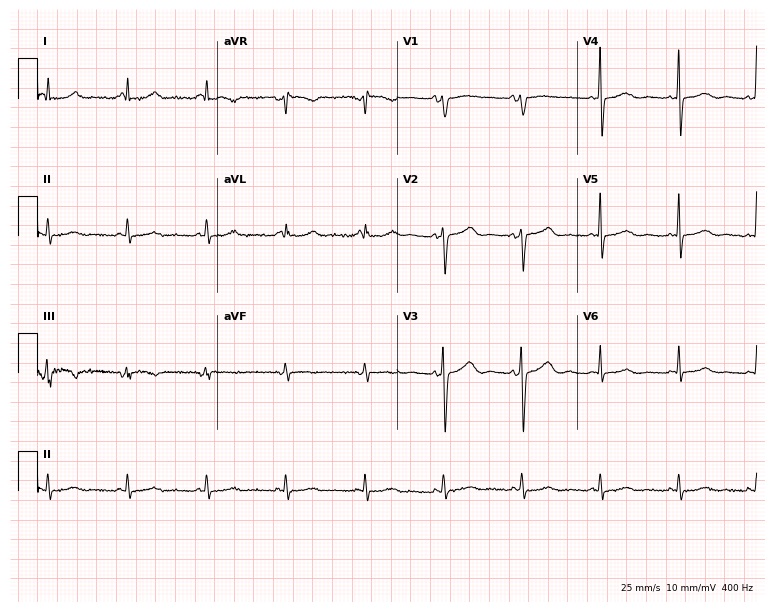
ECG (7.3-second recording at 400 Hz) — a 62-year-old woman. Screened for six findings — first-degree AV block, right bundle branch block (RBBB), left bundle branch block (LBBB), sinus bradycardia, atrial fibrillation (AF), sinus tachycardia — none is recorded.